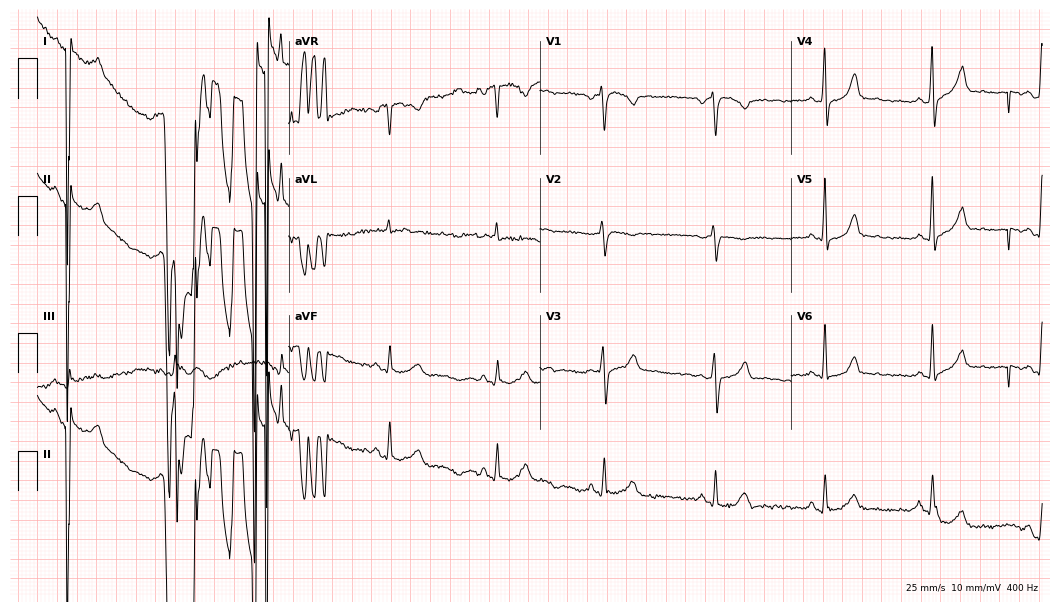
ECG — a man, 56 years old. Screened for six findings — first-degree AV block, right bundle branch block (RBBB), left bundle branch block (LBBB), sinus bradycardia, atrial fibrillation (AF), sinus tachycardia — none is recorded. Only these six findings were labelled.